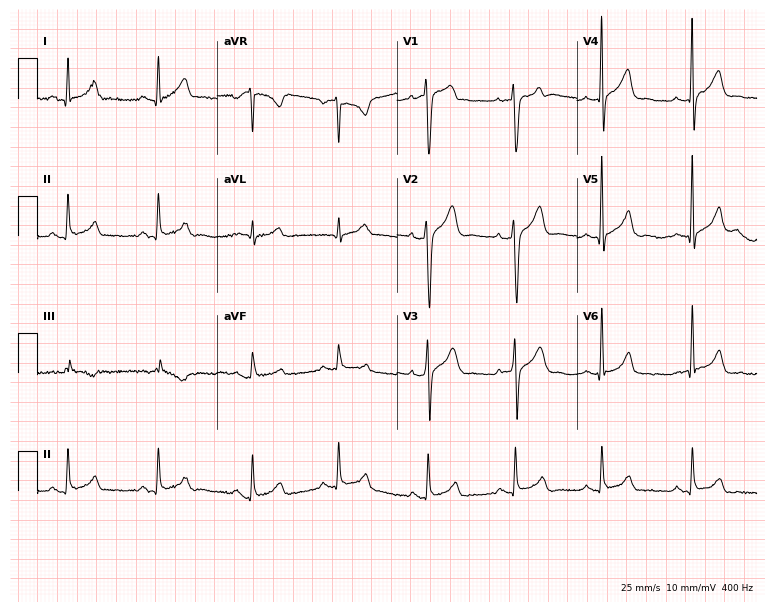
Electrocardiogram, a male, 29 years old. Of the six screened findings (first-degree AV block, right bundle branch block, left bundle branch block, sinus bradycardia, atrial fibrillation, sinus tachycardia), none is recorded. Only these six findings were labelled.